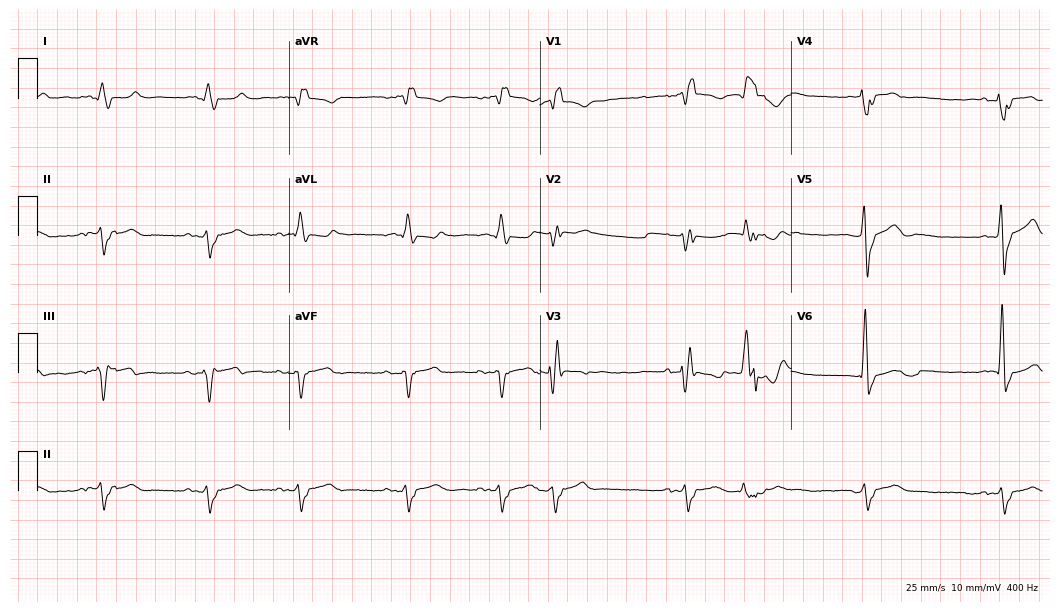
Electrocardiogram, a male, 78 years old. Interpretation includes right bundle branch block.